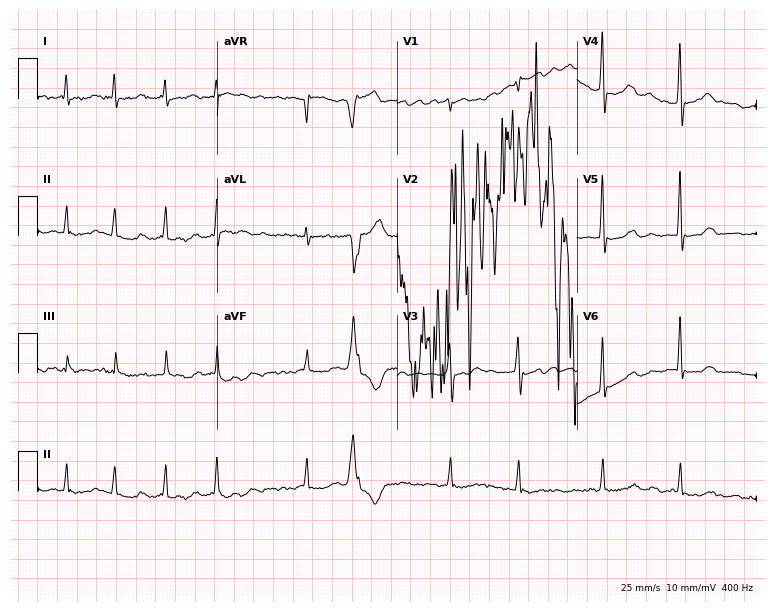
Resting 12-lead electrocardiogram (7.3-second recording at 400 Hz). Patient: a female, 71 years old. None of these six findings is recorded: first-degree AV block, right bundle branch block (RBBB), left bundle branch block (LBBB), sinus bradycardia, atrial fibrillation (AF), sinus tachycardia. Only these six findings were labelled.